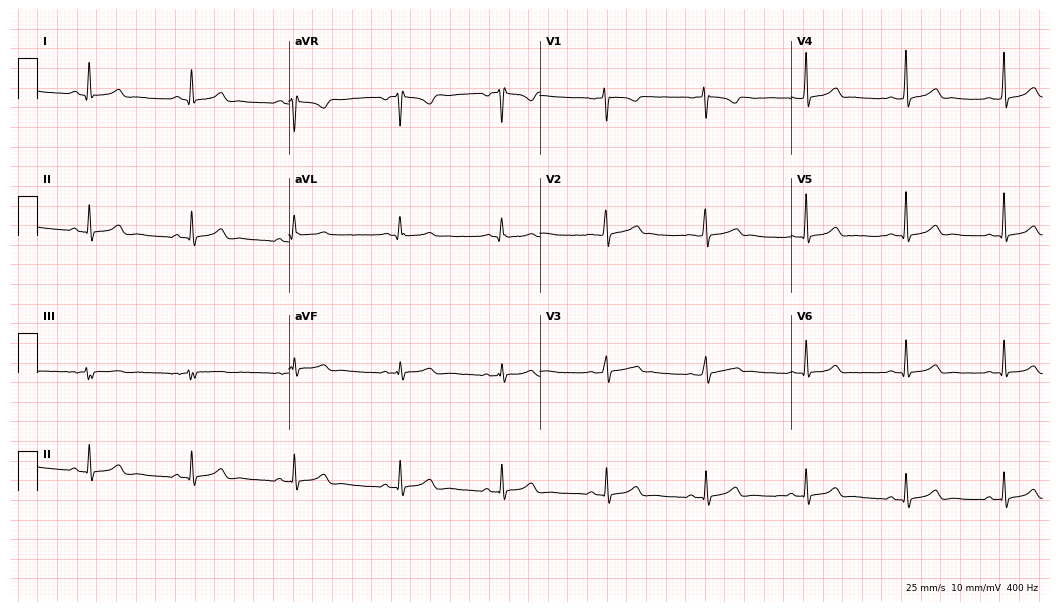
Standard 12-lead ECG recorded from a female, 22 years old (10.2-second recording at 400 Hz). Read as a normal ECG.